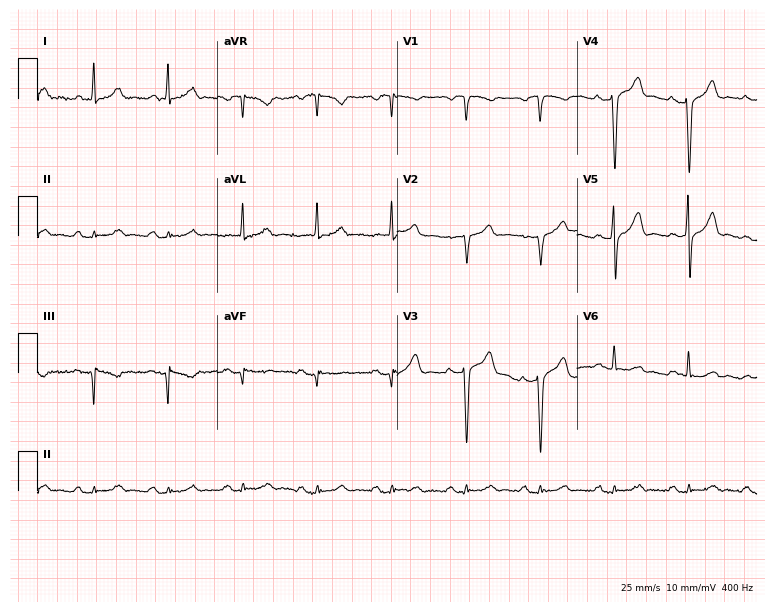
12-lead ECG from a male patient, 71 years old. Screened for six findings — first-degree AV block, right bundle branch block, left bundle branch block, sinus bradycardia, atrial fibrillation, sinus tachycardia — none is recorded.